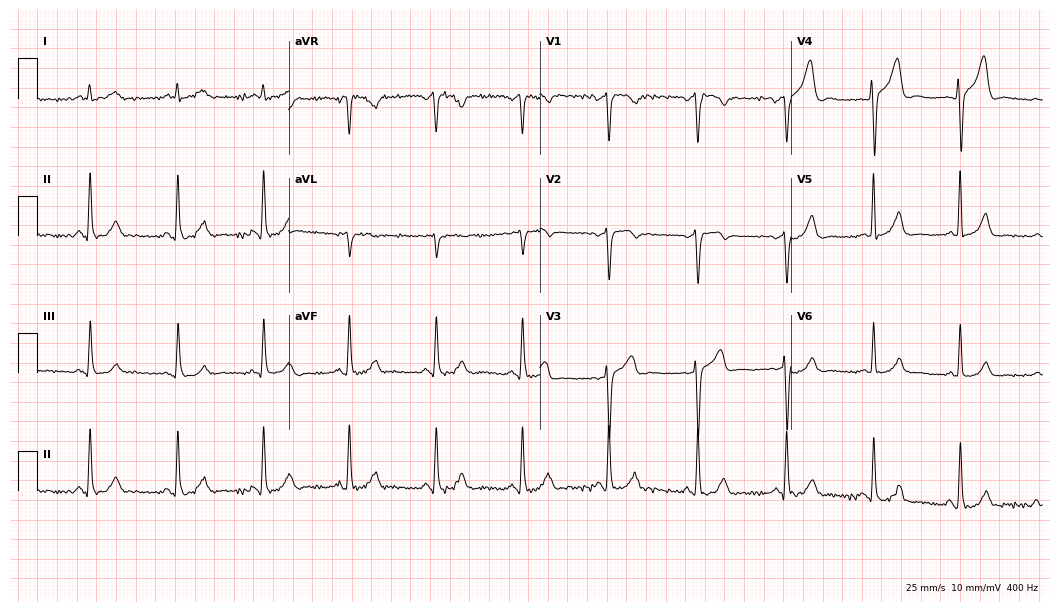
ECG (10.2-second recording at 400 Hz) — a 49-year-old male patient. Labelled as a normal ECG.